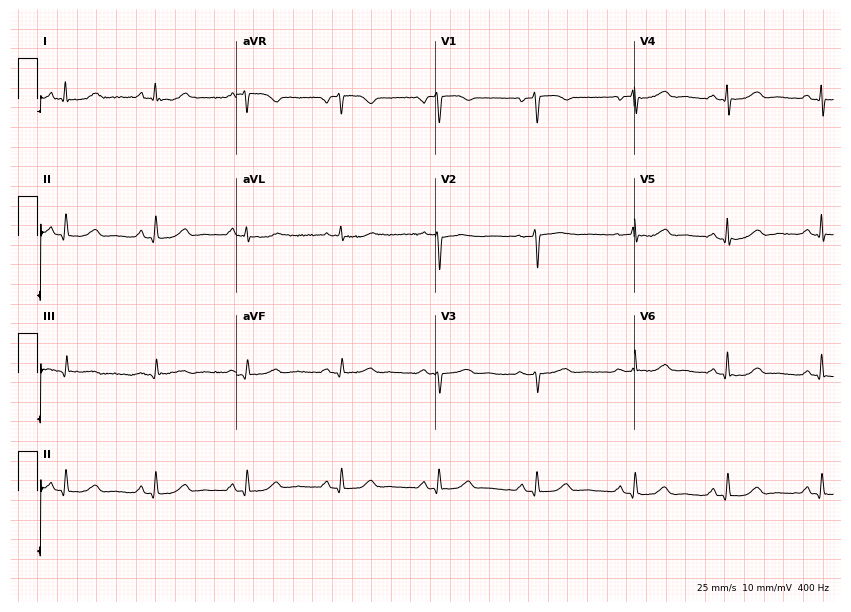
12-lead ECG from a 48-year-old female patient. Labelled as a normal ECG.